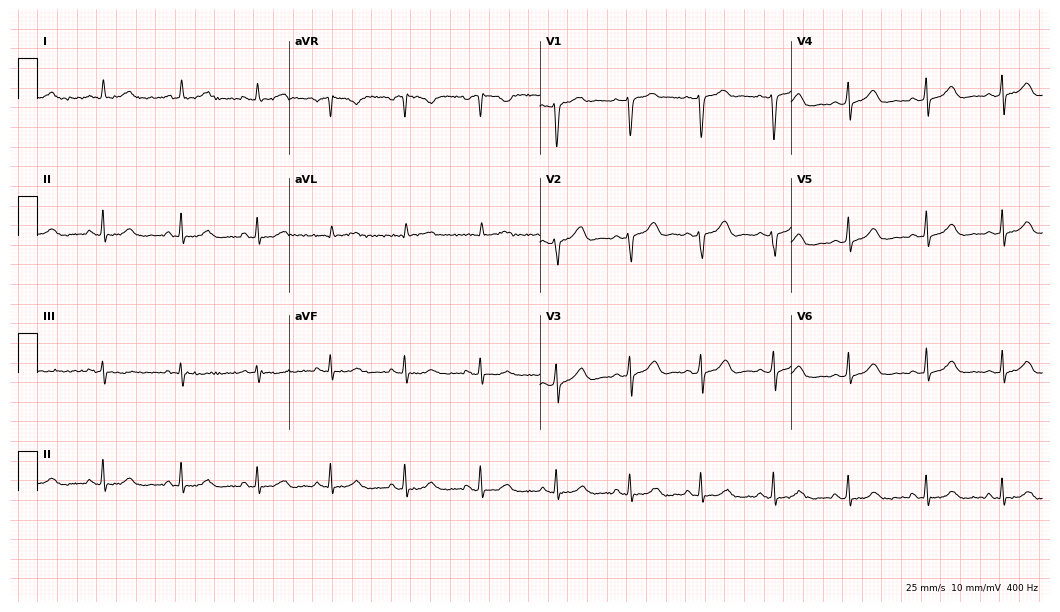
Electrocardiogram, a woman, 43 years old. Of the six screened findings (first-degree AV block, right bundle branch block (RBBB), left bundle branch block (LBBB), sinus bradycardia, atrial fibrillation (AF), sinus tachycardia), none is recorded. Other findings, if any, are not listed.